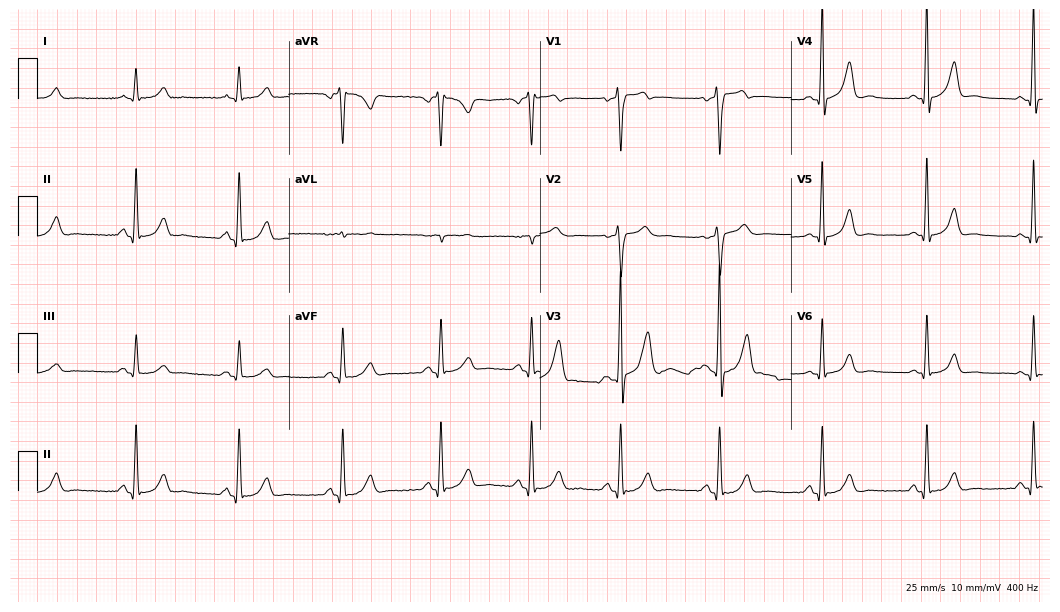
Resting 12-lead electrocardiogram (10.2-second recording at 400 Hz). Patient: a 45-year-old male. Read as a normal ECG.